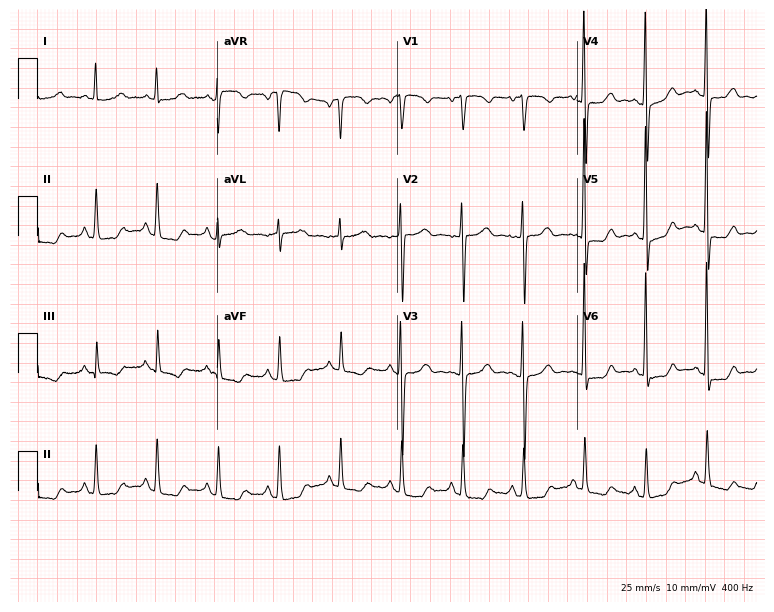
Electrocardiogram, a male patient, 70 years old. Of the six screened findings (first-degree AV block, right bundle branch block, left bundle branch block, sinus bradycardia, atrial fibrillation, sinus tachycardia), none is recorded. Findings outside these six are not listed.